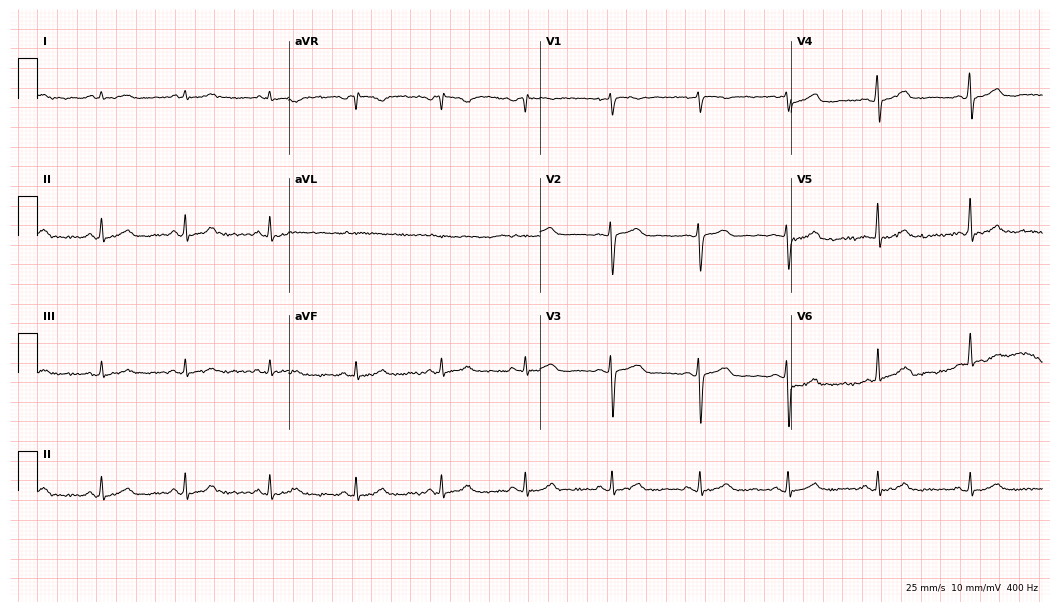
Resting 12-lead electrocardiogram (10.2-second recording at 400 Hz). Patient: a female, 55 years old. Read as a normal ECG.